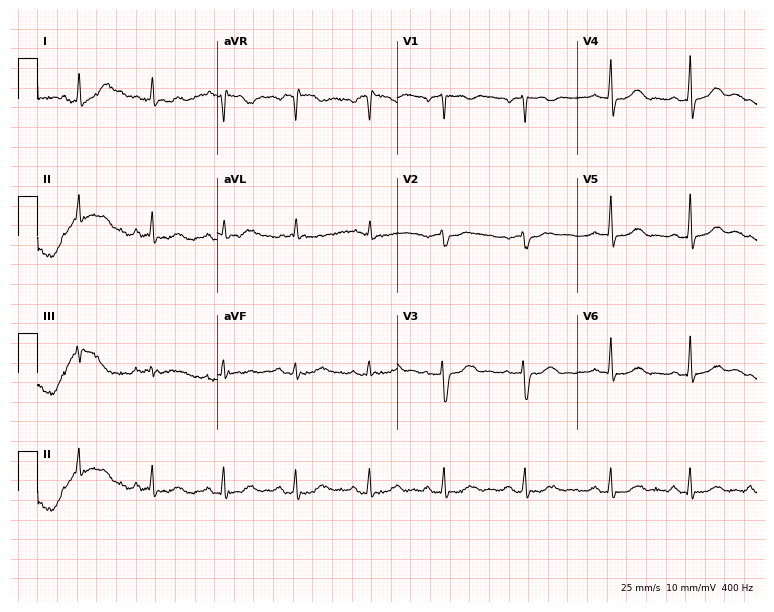
ECG (7.3-second recording at 400 Hz) — a 57-year-old female. Screened for six findings — first-degree AV block, right bundle branch block, left bundle branch block, sinus bradycardia, atrial fibrillation, sinus tachycardia — none is recorded.